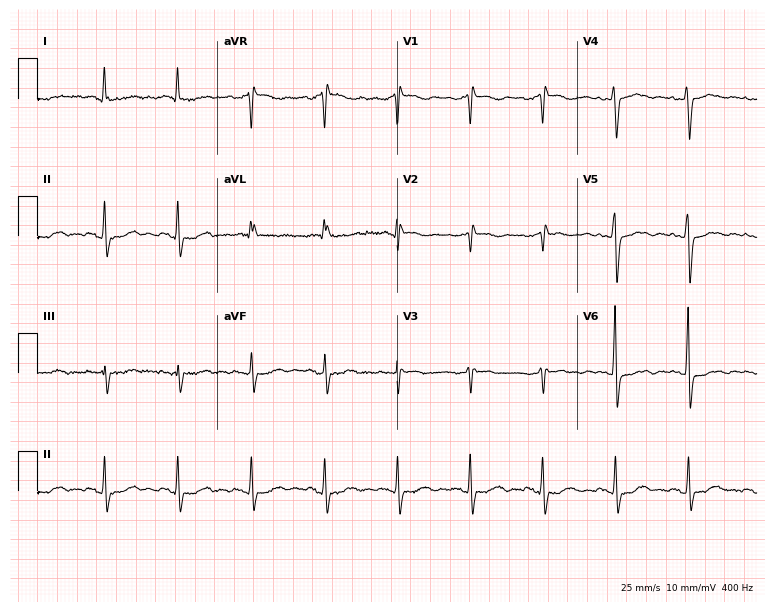
12-lead ECG from a female patient, 60 years old (7.3-second recording at 400 Hz). Recorded interpretation: within normal limits.